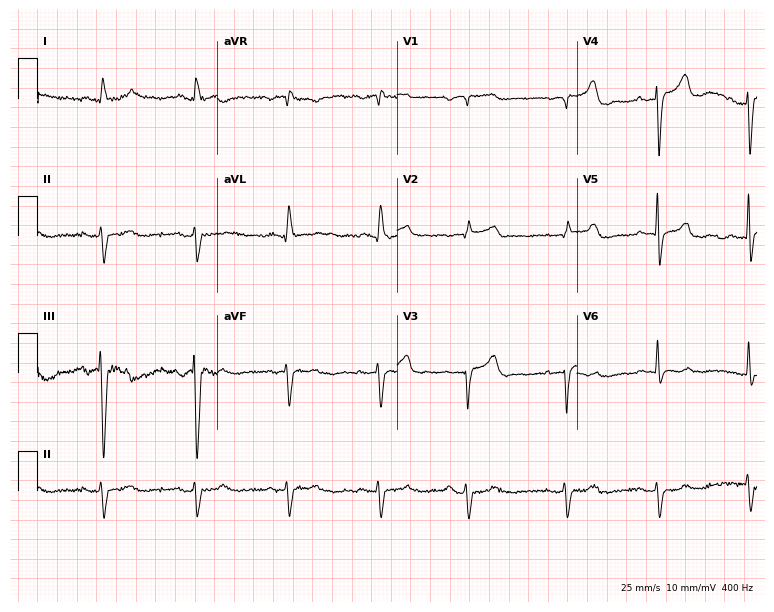
Standard 12-lead ECG recorded from a male, 84 years old (7.3-second recording at 400 Hz). None of these six findings is recorded: first-degree AV block, right bundle branch block, left bundle branch block, sinus bradycardia, atrial fibrillation, sinus tachycardia. Other findings, if any, are not listed.